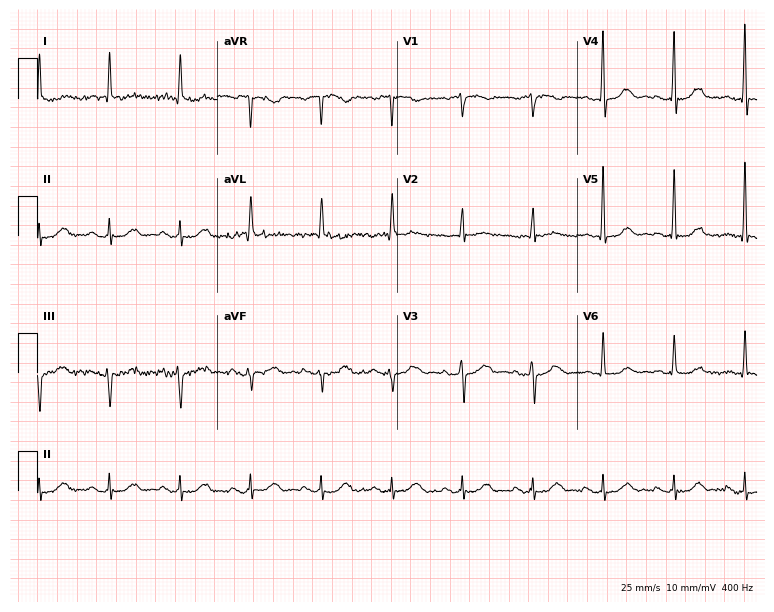
Resting 12-lead electrocardiogram. Patient: an 82-year-old woman. None of these six findings is recorded: first-degree AV block, right bundle branch block, left bundle branch block, sinus bradycardia, atrial fibrillation, sinus tachycardia. Findings outside these six are not listed.